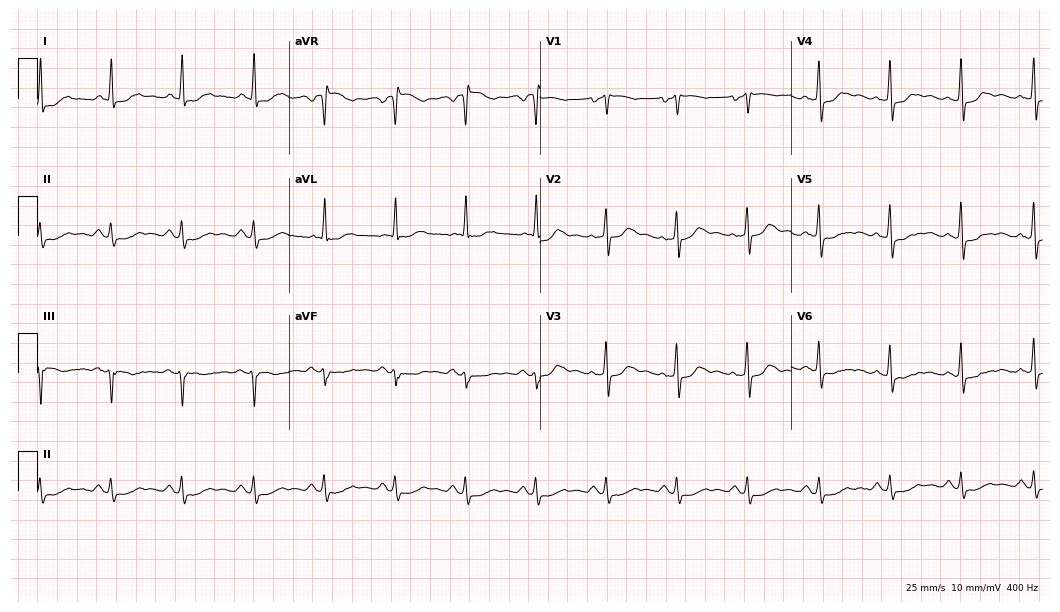
12-lead ECG from a female patient, 58 years old. Screened for six findings — first-degree AV block, right bundle branch block, left bundle branch block, sinus bradycardia, atrial fibrillation, sinus tachycardia — none is recorded. Other findings, if any, are not listed.